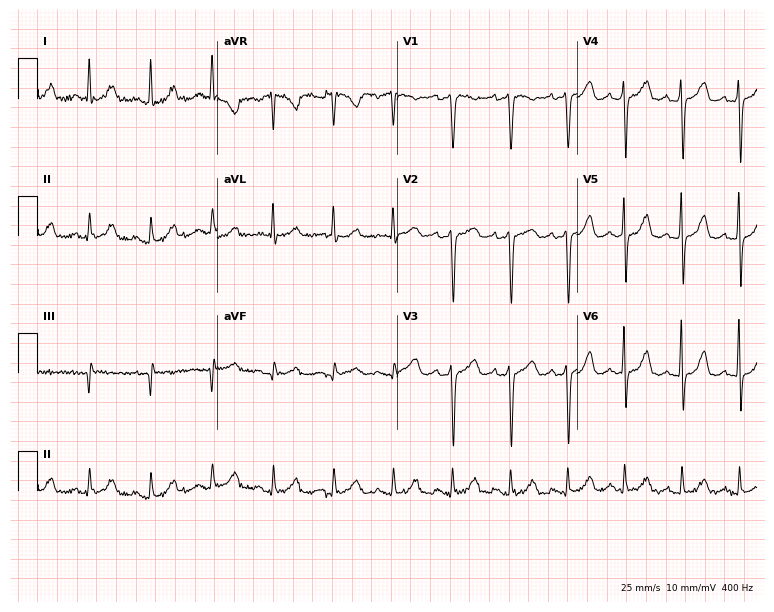
Resting 12-lead electrocardiogram (7.3-second recording at 400 Hz). Patient: a 46-year-old female. Read as a normal ECG.